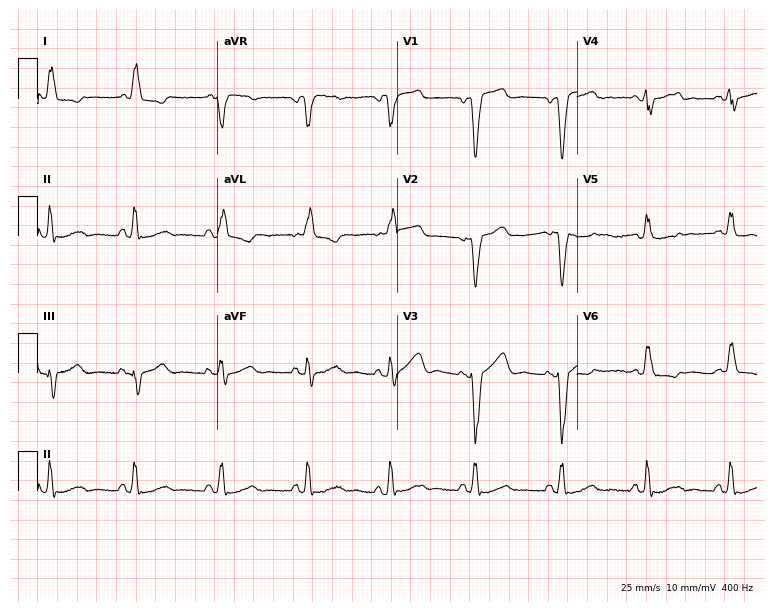
12-lead ECG from a 56-year-old woman. No first-degree AV block, right bundle branch block (RBBB), left bundle branch block (LBBB), sinus bradycardia, atrial fibrillation (AF) or sinus tachycardia recorded for this tracing.